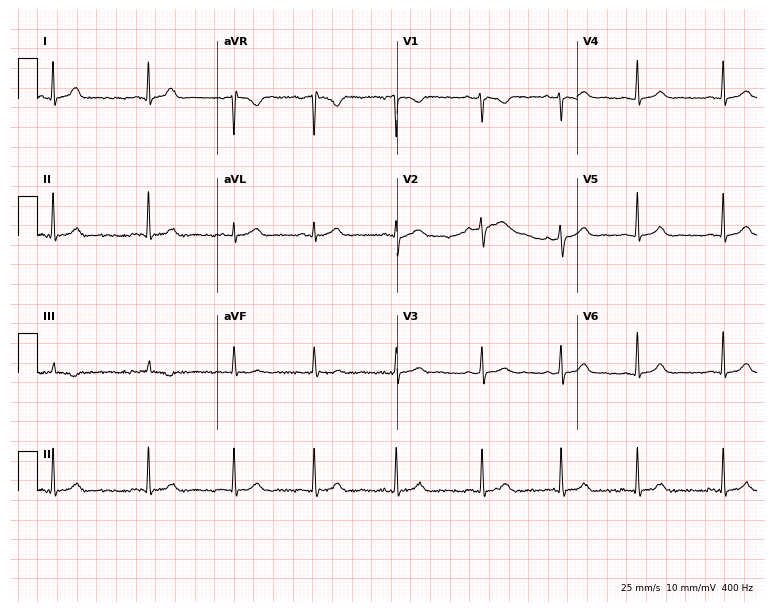
12-lead ECG (7.3-second recording at 400 Hz) from a woman, 20 years old. Labelled as a normal ECG.